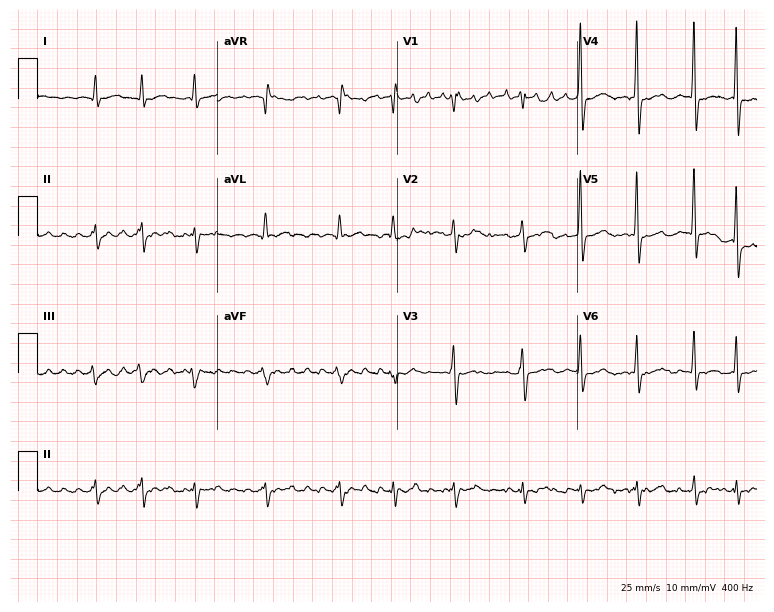
Electrocardiogram, a man, 74 years old. Interpretation includes atrial fibrillation (AF).